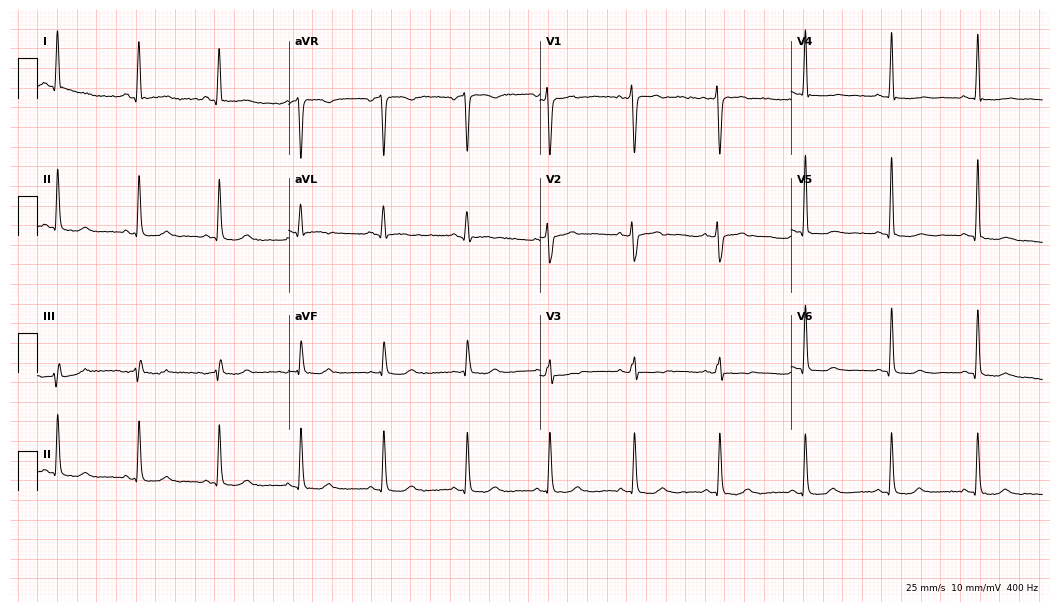
Electrocardiogram (10.2-second recording at 400 Hz), a woman, 50 years old. Of the six screened findings (first-degree AV block, right bundle branch block, left bundle branch block, sinus bradycardia, atrial fibrillation, sinus tachycardia), none is recorded.